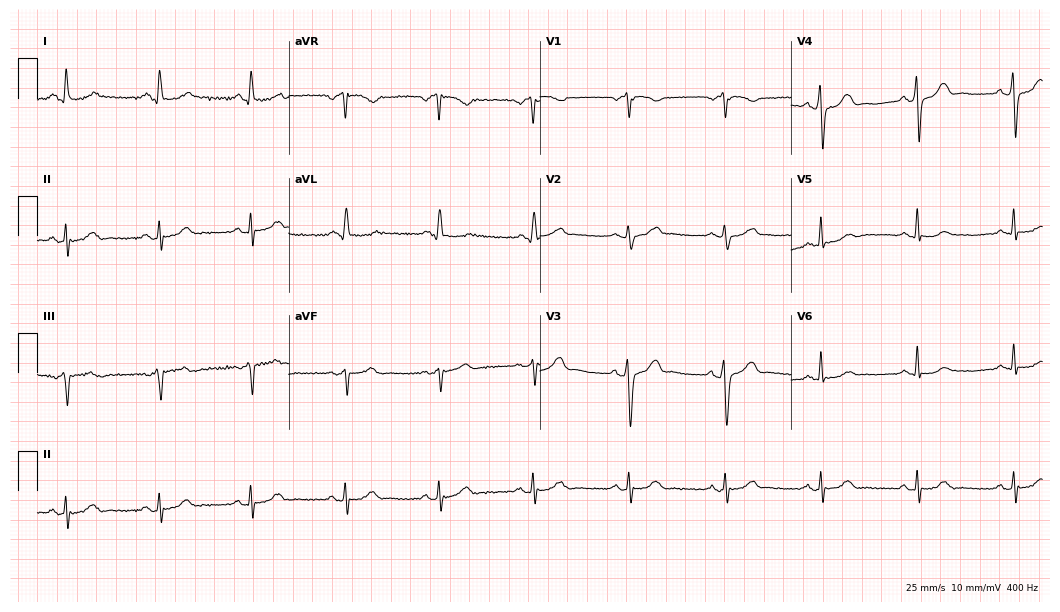
Standard 12-lead ECG recorded from a 72-year-old female patient (10.2-second recording at 400 Hz). None of these six findings is recorded: first-degree AV block, right bundle branch block, left bundle branch block, sinus bradycardia, atrial fibrillation, sinus tachycardia. Only these six findings were labelled.